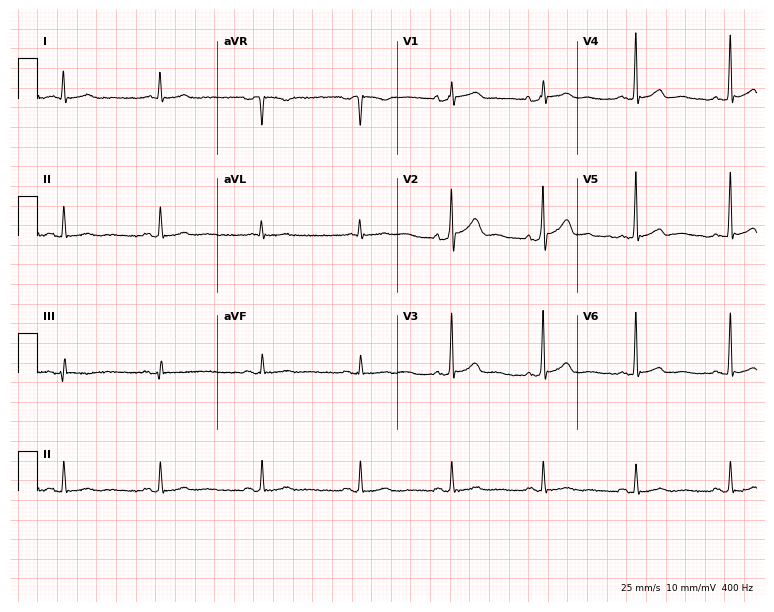
ECG — a male, 60 years old. Labelled as a normal ECG.